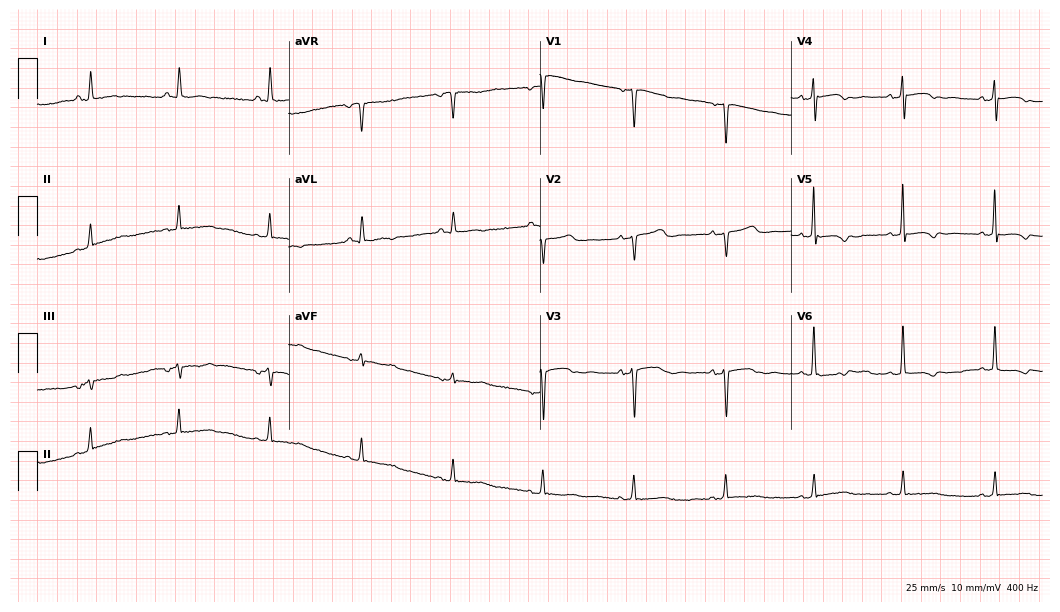
Resting 12-lead electrocardiogram. Patient: a female, 69 years old. None of these six findings is recorded: first-degree AV block, right bundle branch block, left bundle branch block, sinus bradycardia, atrial fibrillation, sinus tachycardia.